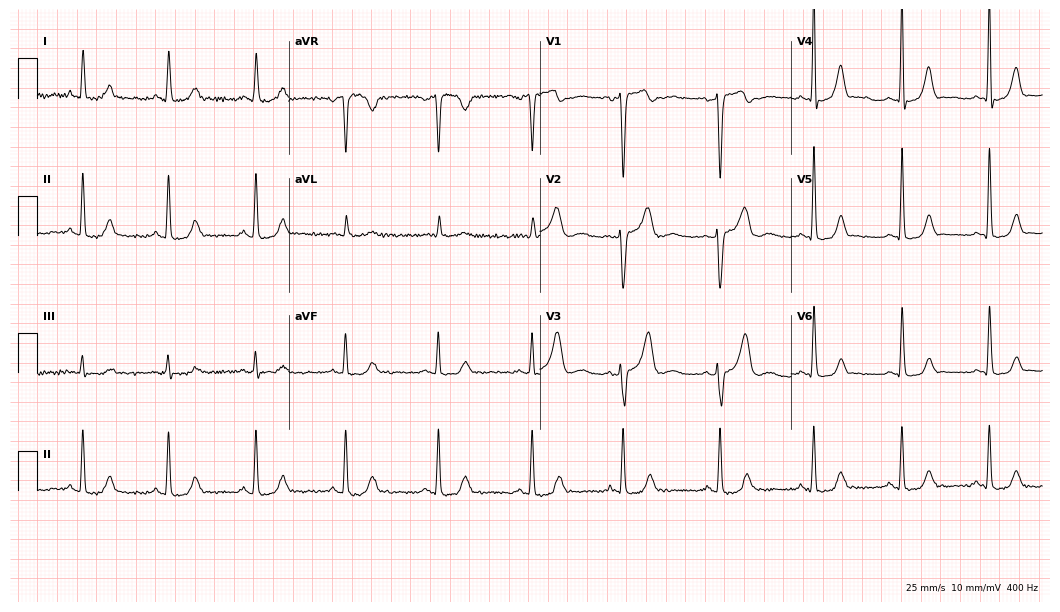
Resting 12-lead electrocardiogram (10.2-second recording at 400 Hz). Patient: a 47-year-old female. None of these six findings is recorded: first-degree AV block, right bundle branch block, left bundle branch block, sinus bradycardia, atrial fibrillation, sinus tachycardia.